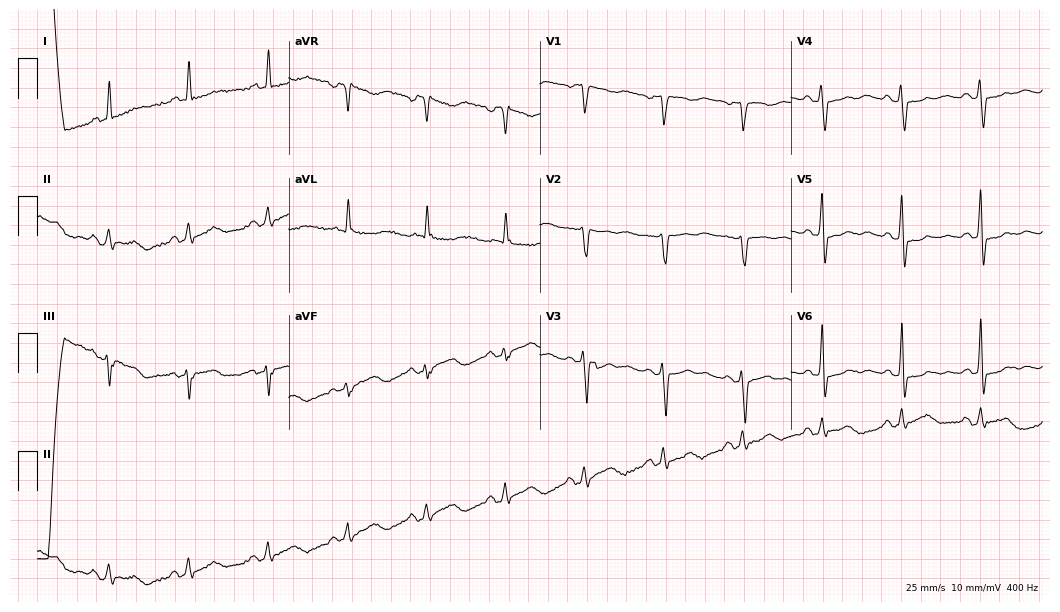
ECG (10.2-second recording at 400 Hz) — a woman, 72 years old. Screened for six findings — first-degree AV block, right bundle branch block, left bundle branch block, sinus bradycardia, atrial fibrillation, sinus tachycardia — none is recorded. Only these six findings were labelled.